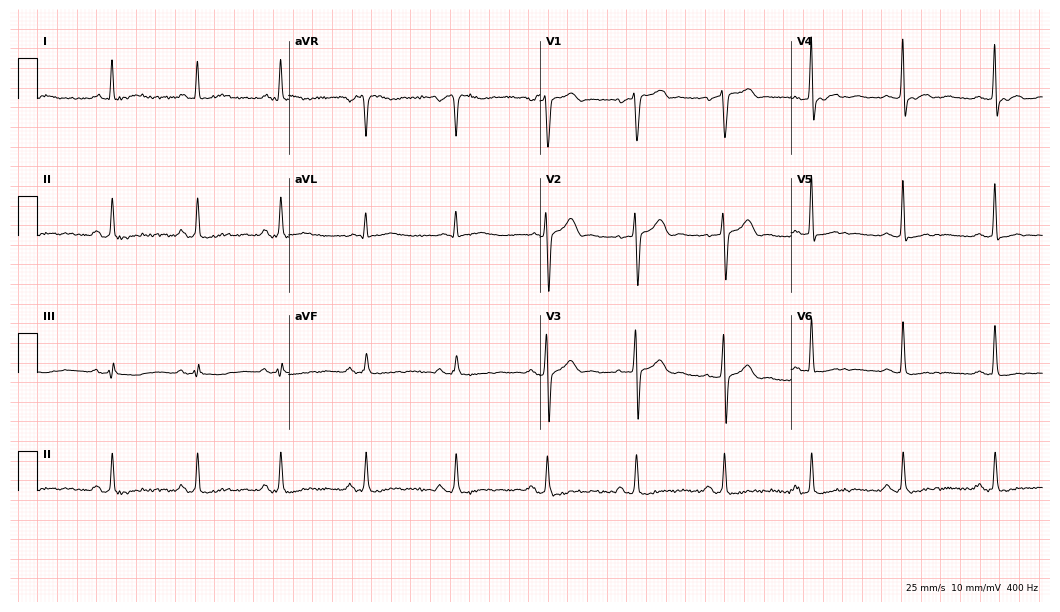
12-lead ECG from a 47-year-old man (10.2-second recording at 400 Hz). No first-degree AV block, right bundle branch block, left bundle branch block, sinus bradycardia, atrial fibrillation or sinus tachycardia recorded for this tracing.